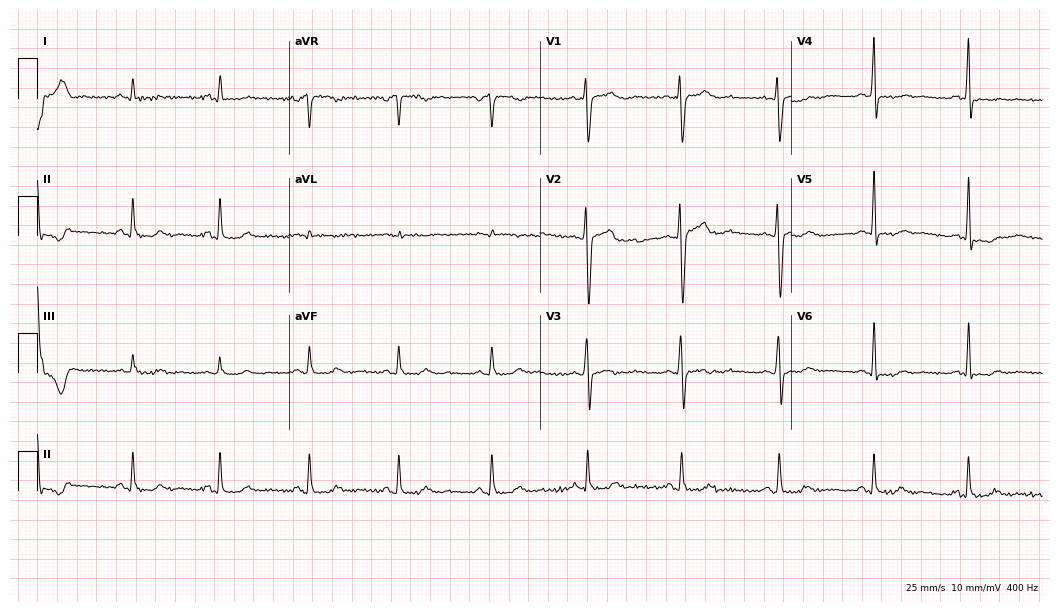
ECG — a 31-year-old woman. Labelled as a normal ECG.